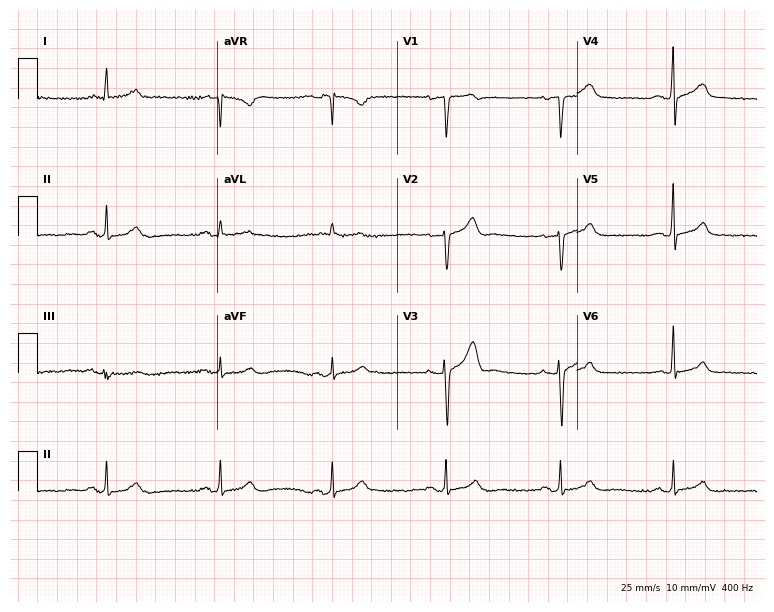
12-lead ECG from a male, 65 years old. Labelled as a normal ECG.